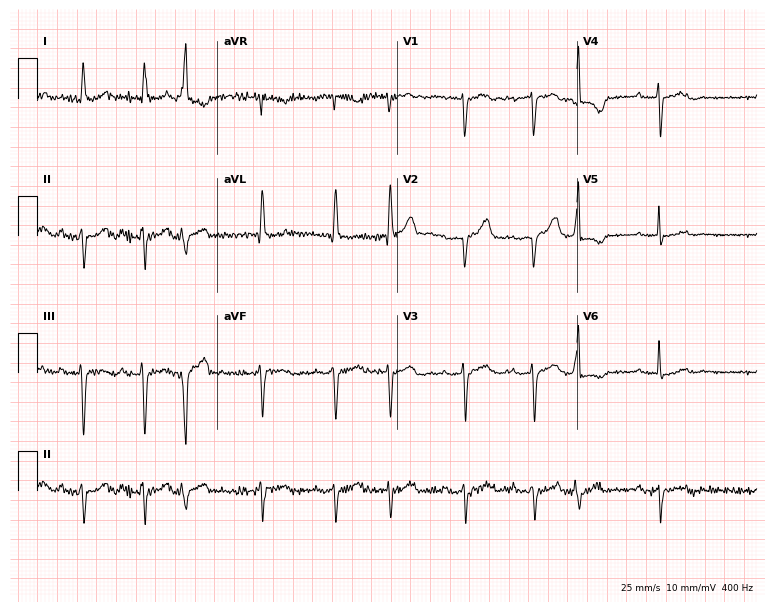
Resting 12-lead electrocardiogram. Patient: a woman, 84 years old. None of these six findings is recorded: first-degree AV block, right bundle branch block, left bundle branch block, sinus bradycardia, atrial fibrillation, sinus tachycardia. Other findings, if any, are not listed.